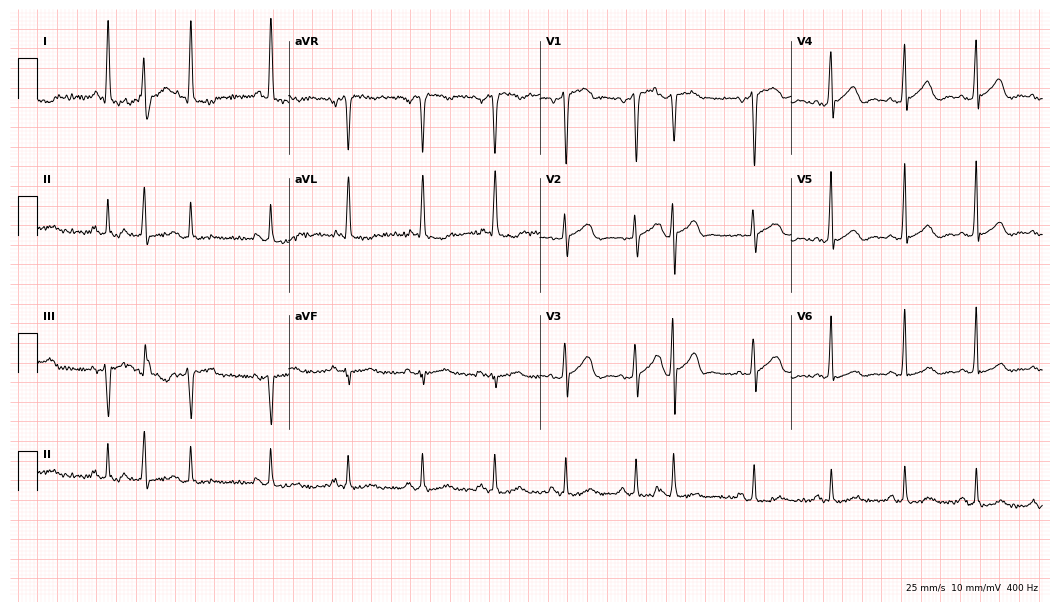
Standard 12-lead ECG recorded from a 65-year-old female patient (10.2-second recording at 400 Hz). None of these six findings is recorded: first-degree AV block, right bundle branch block, left bundle branch block, sinus bradycardia, atrial fibrillation, sinus tachycardia. Findings outside these six are not listed.